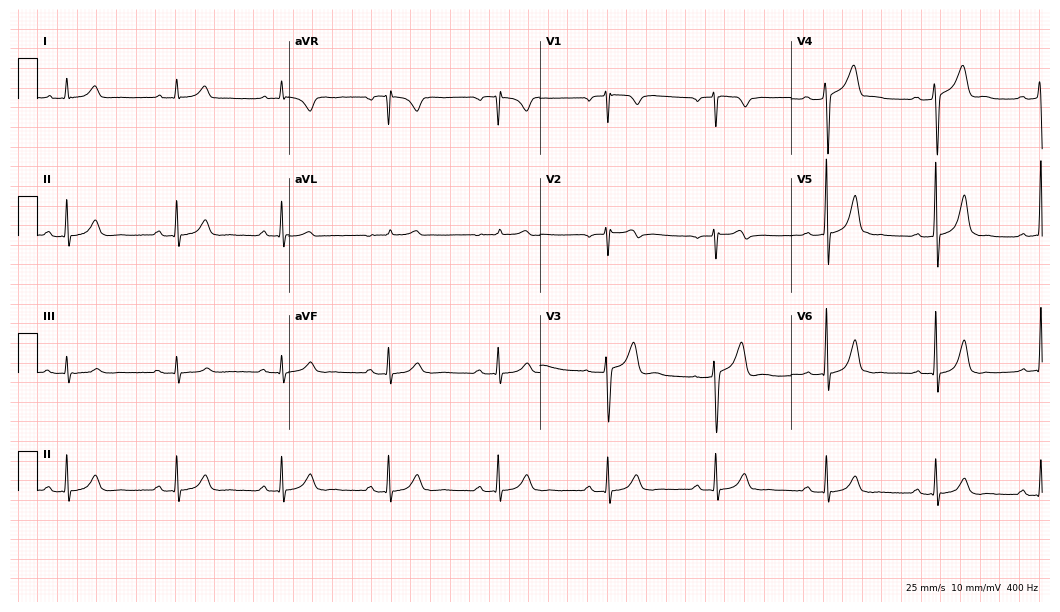
ECG — a 48-year-old man. Screened for six findings — first-degree AV block, right bundle branch block, left bundle branch block, sinus bradycardia, atrial fibrillation, sinus tachycardia — none is recorded.